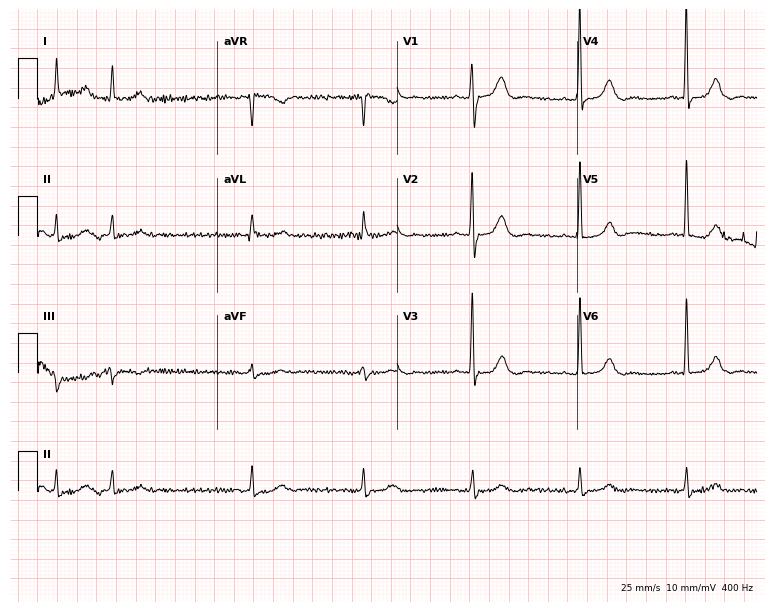
Standard 12-lead ECG recorded from a 75-year-old man (7.3-second recording at 400 Hz). Read as a normal ECG.